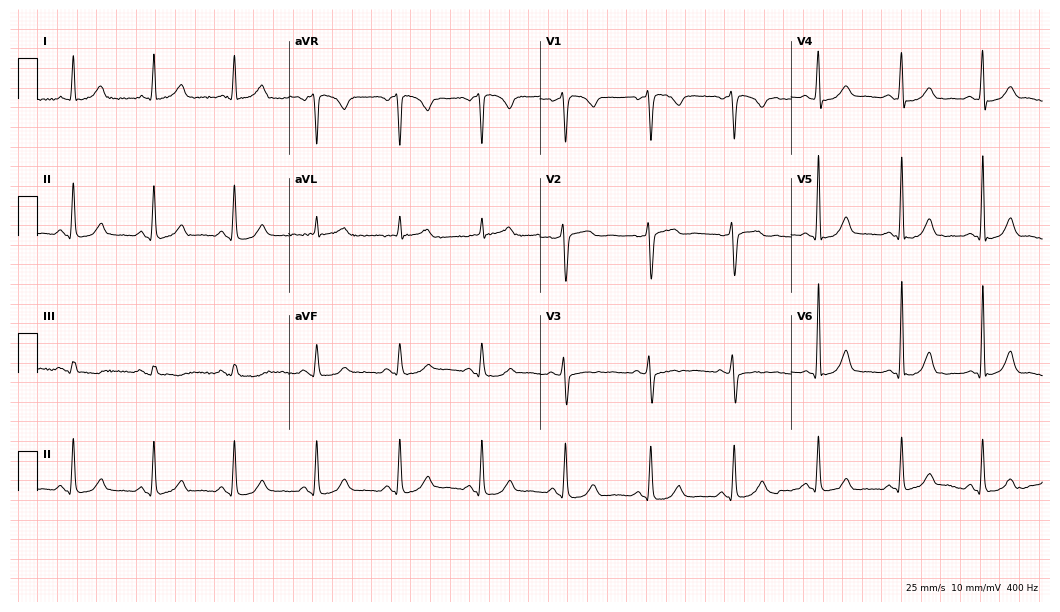
Electrocardiogram, a woman, 50 years old. Of the six screened findings (first-degree AV block, right bundle branch block, left bundle branch block, sinus bradycardia, atrial fibrillation, sinus tachycardia), none is recorded. Other findings, if any, are not listed.